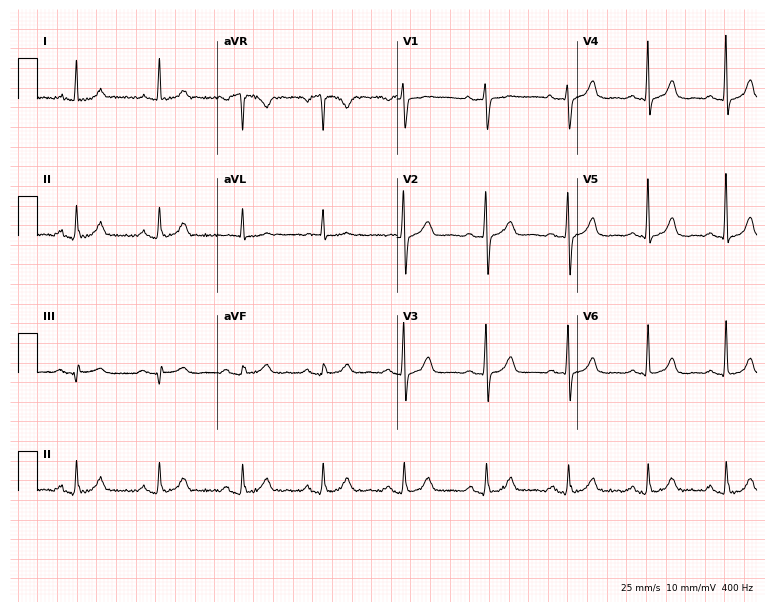
Standard 12-lead ECG recorded from a female, 57 years old (7.3-second recording at 400 Hz). Read as a normal ECG.